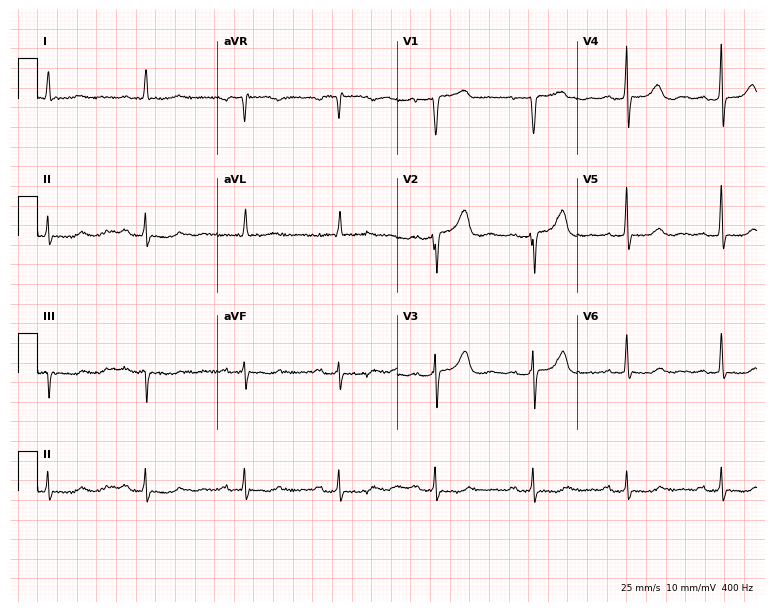
Standard 12-lead ECG recorded from a female patient, 63 years old (7.3-second recording at 400 Hz). The tracing shows first-degree AV block.